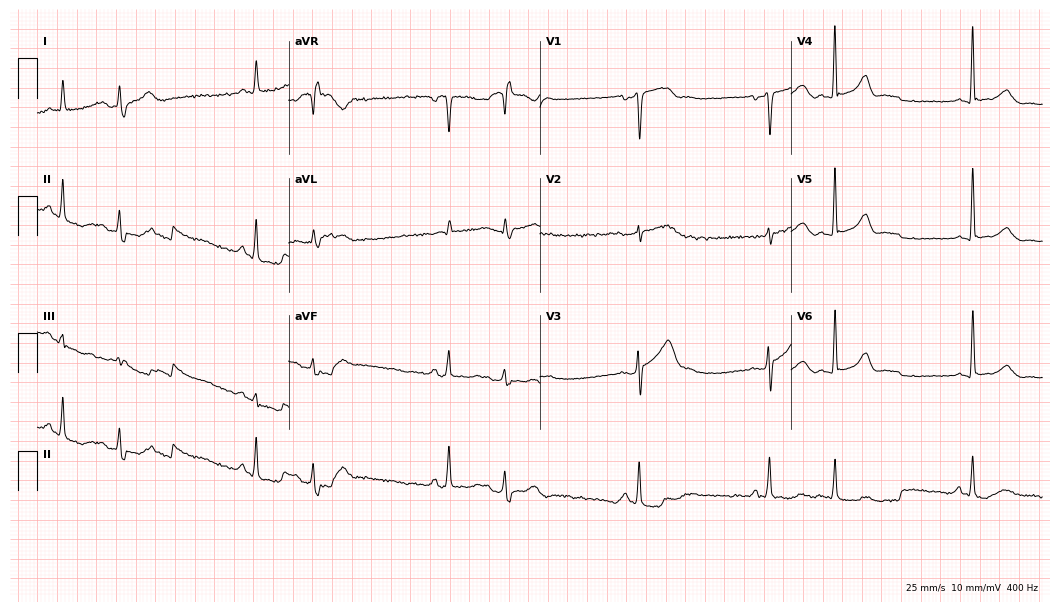
12-lead ECG from a 76-year-old man. Recorded interpretation: within normal limits.